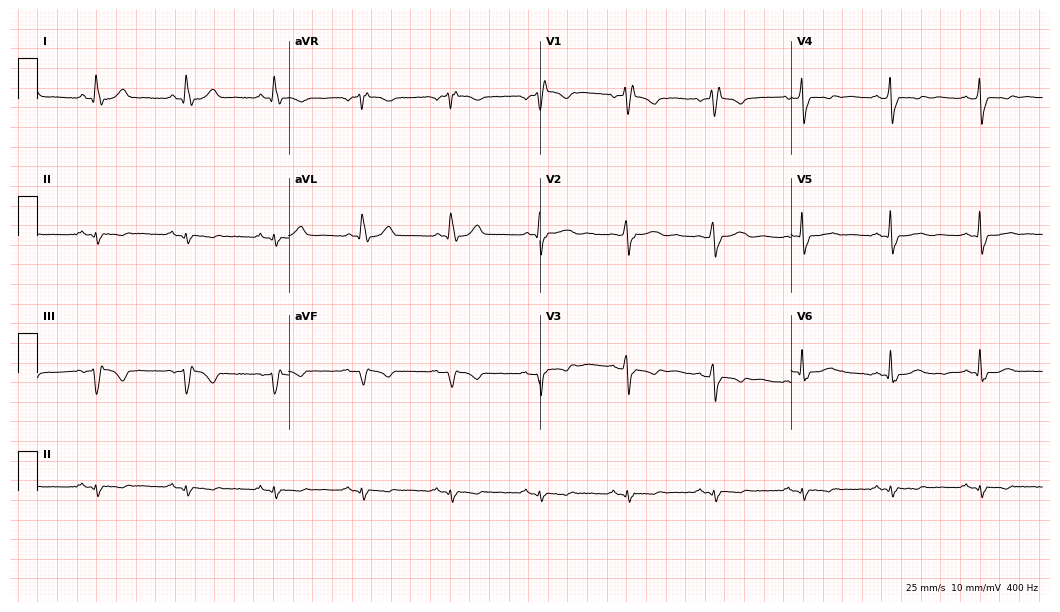
Standard 12-lead ECG recorded from a woman, 65 years old (10.2-second recording at 400 Hz). The tracing shows right bundle branch block (RBBB).